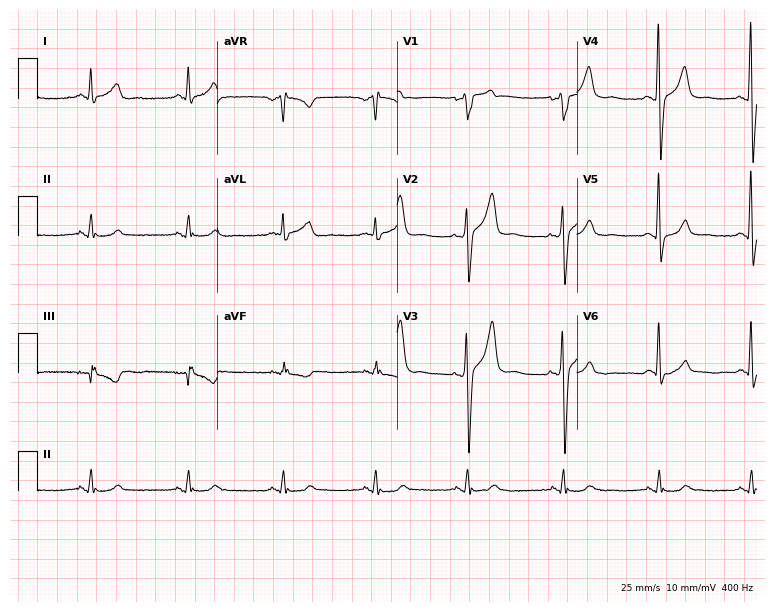
12-lead ECG from a 54-year-old man. Screened for six findings — first-degree AV block, right bundle branch block, left bundle branch block, sinus bradycardia, atrial fibrillation, sinus tachycardia — none is recorded.